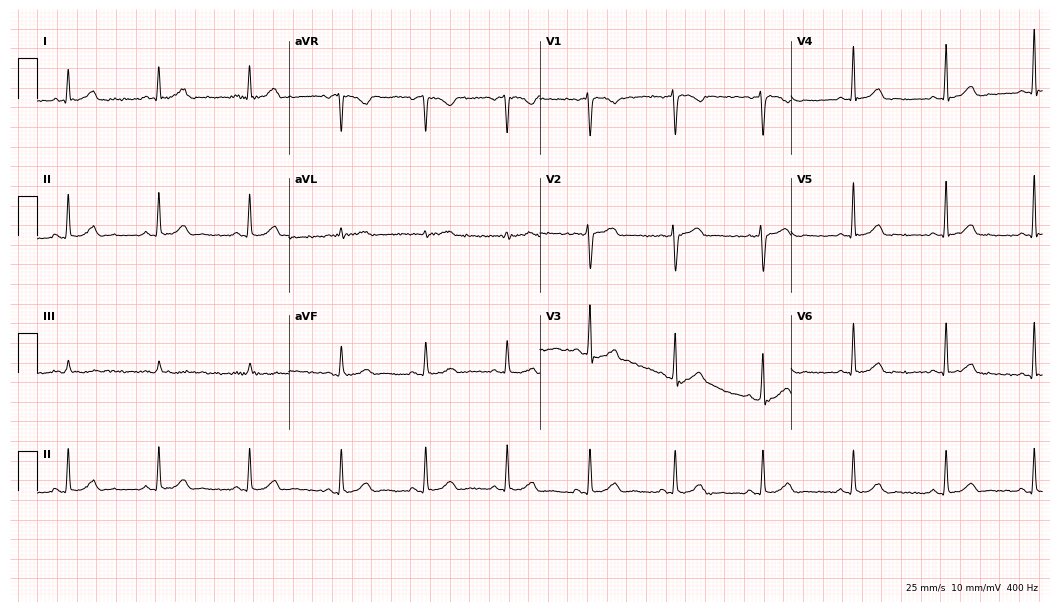
Resting 12-lead electrocardiogram (10.2-second recording at 400 Hz). Patient: a female, 39 years old. Read as a normal ECG.